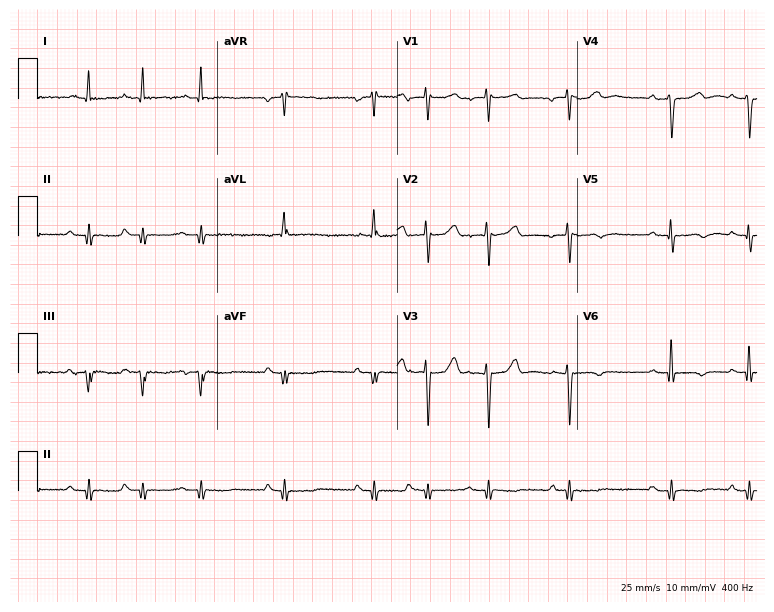
12-lead ECG from a 77-year-old man. Screened for six findings — first-degree AV block, right bundle branch block, left bundle branch block, sinus bradycardia, atrial fibrillation, sinus tachycardia — none is recorded.